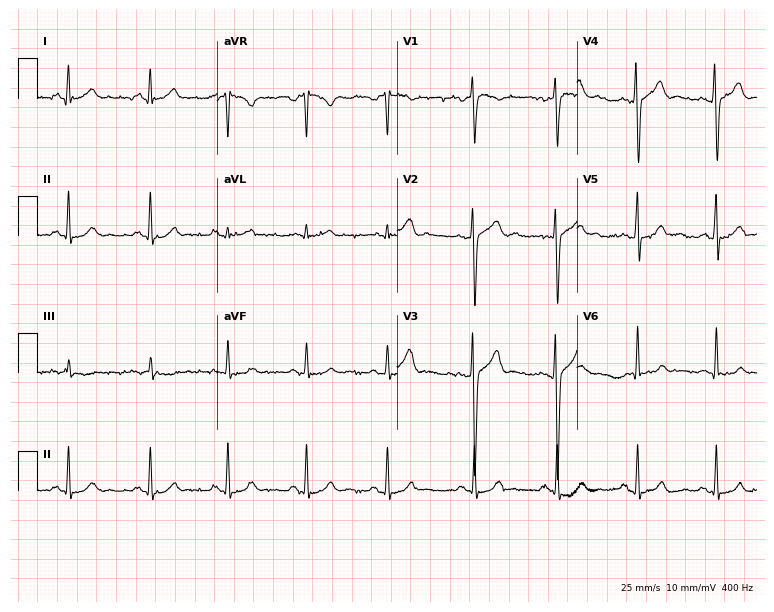
12-lead ECG from a 25-year-old male patient. Screened for six findings — first-degree AV block, right bundle branch block, left bundle branch block, sinus bradycardia, atrial fibrillation, sinus tachycardia — none is recorded. Only these six findings were labelled.